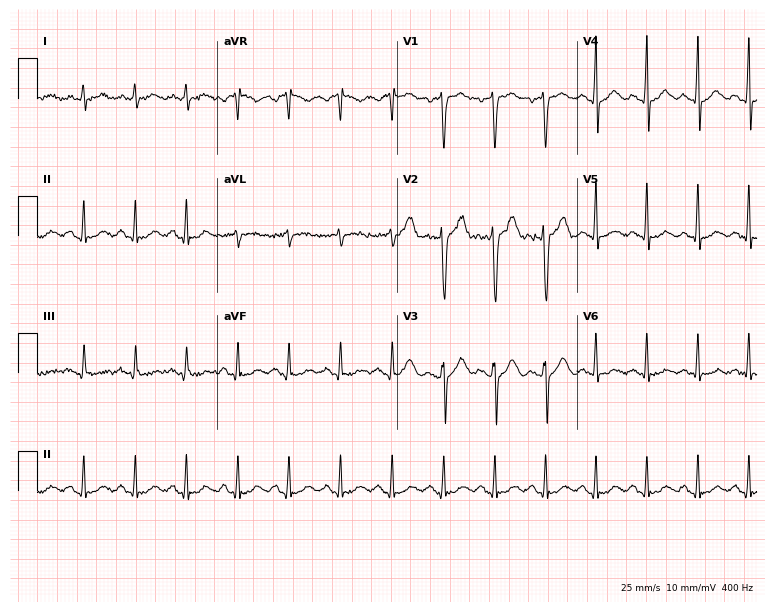
Resting 12-lead electrocardiogram (7.3-second recording at 400 Hz). Patient: a man, 42 years old. The tracing shows sinus tachycardia (a sinus rate of 100 beats per minute or more).